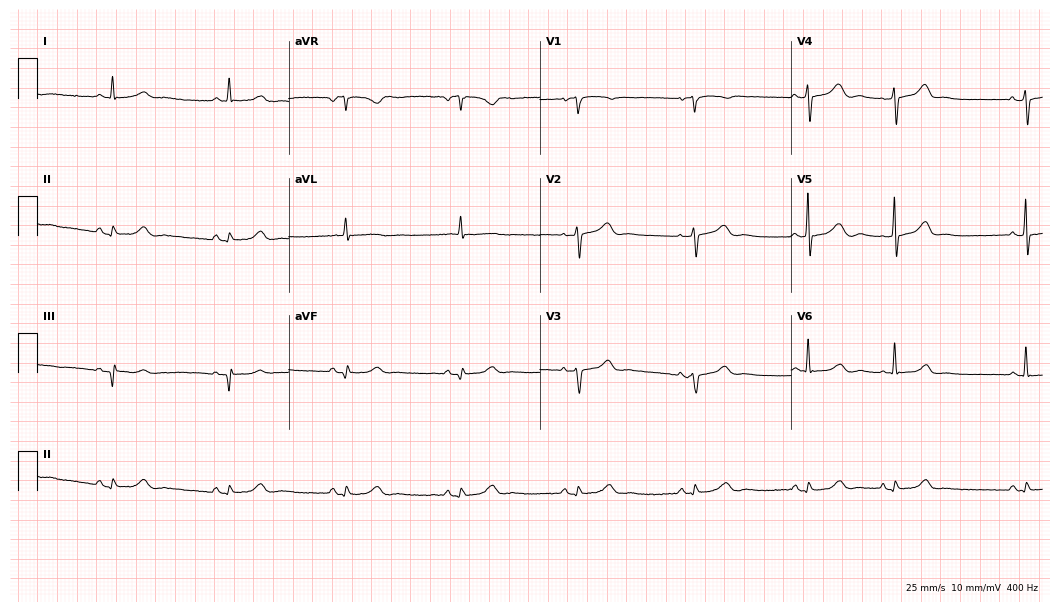
Resting 12-lead electrocardiogram. Patient: a woman, 75 years old. None of these six findings is recorded: first-degree AV block, right bundle branch block (RBBB), left bundle branch block (LBBB), sinus bradycardia, atrial fibrillation (AF), sinus tachycardia. Other findings, if any, are not listed.